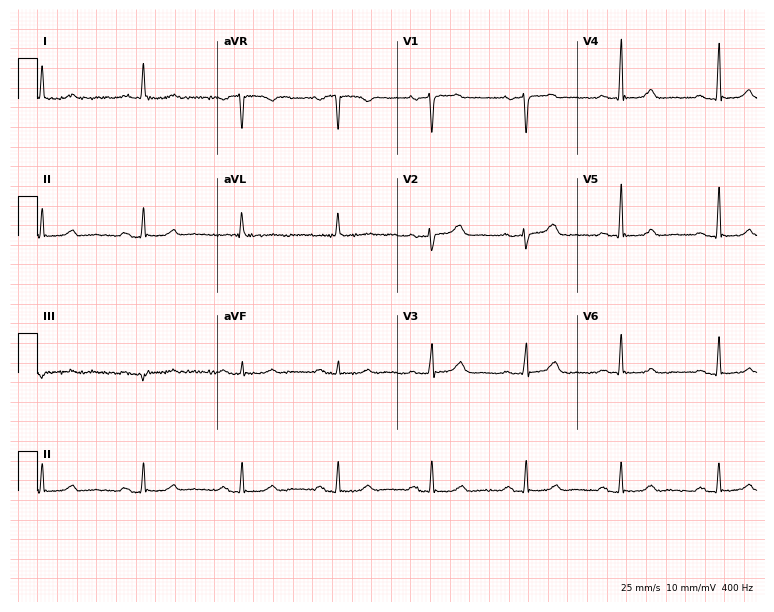
12-lead ECG from a woman, 65 years old. Labelled as a normal ECG.